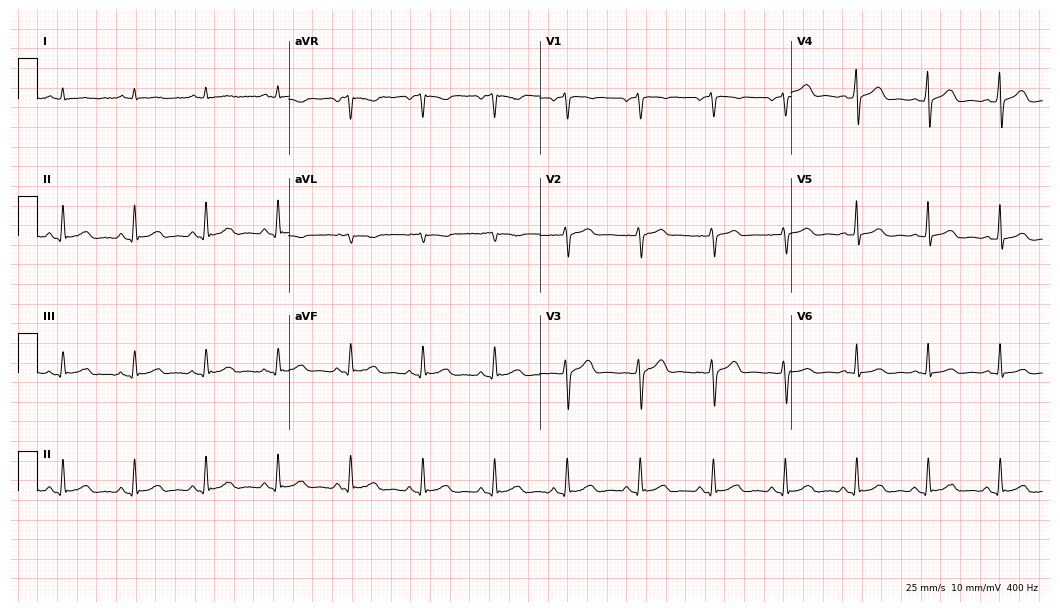
Electrocardiogram, a male, 50 years old. Of the six screened findings (first-degree AV block, right bundle branch block (RBBB), left bundle branch block (LBBB), sinus bradycardia, atrial fibrillation (AF), sinus tachycardia), none is recorded.